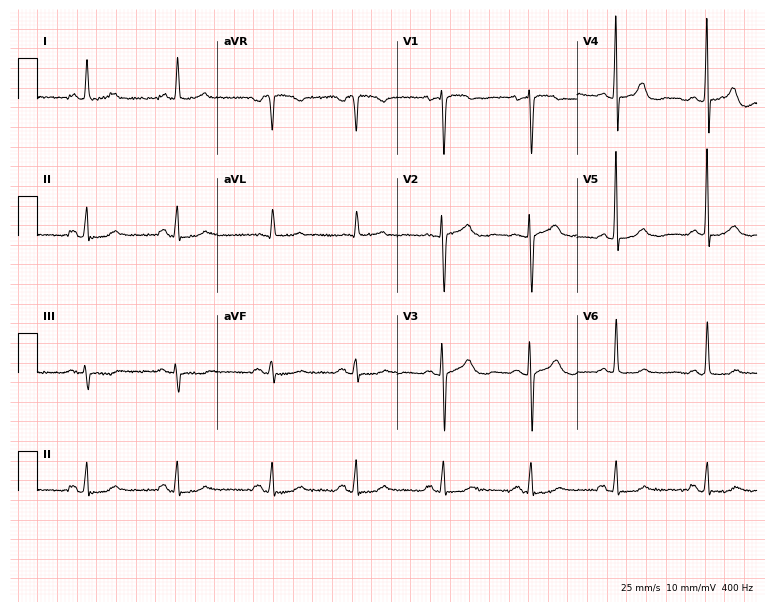
12-lead ECG from a 63-year-old female. No first-degree AV block, right bundle branch block, left bundle branch block, sinus bradycardia, atrial fibrillation or sinus tachycardia recorded for this tracing.